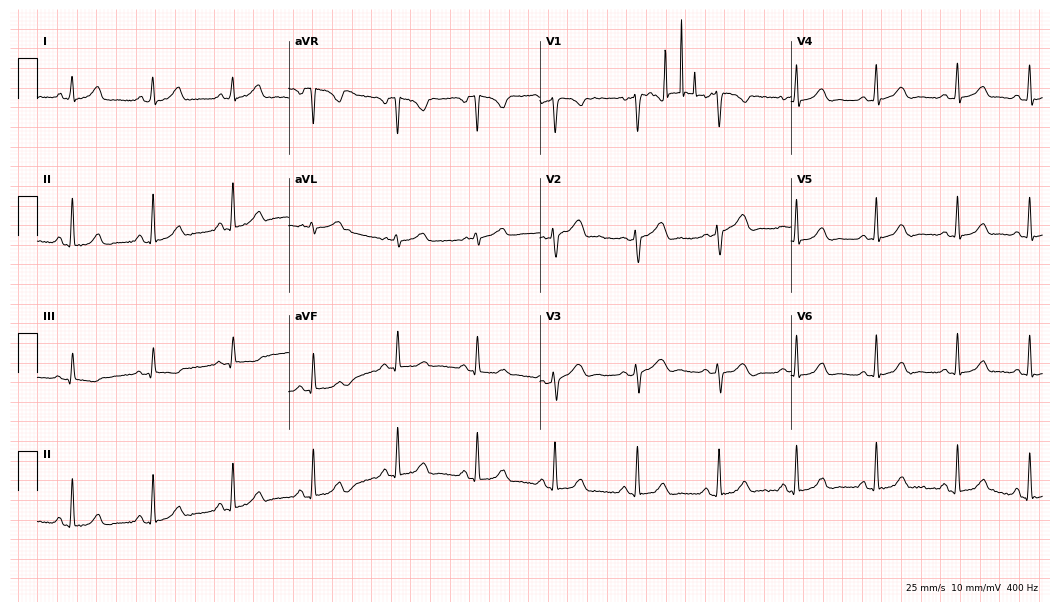
12-lead ECG from a 33-year-old female patient (10.2-second recording at 400 Hz). Recorded interpretation: within normal limits.